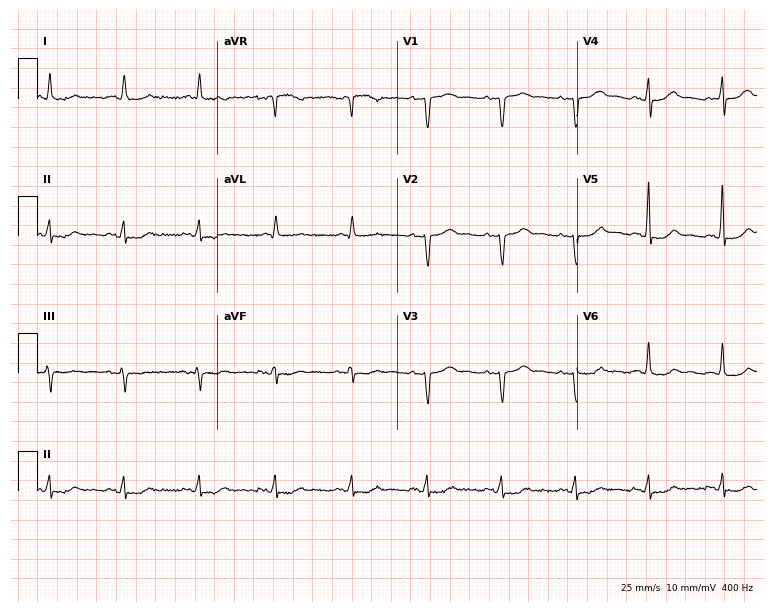
ECG — a male, 65 years old. Screened for six findings — first-degree AV block, right bundle branch block, left bundle branch block, sinus bradycardia, atrial fibrillation, sinus tachycardia — none is recorded. Findings outside these six are not listed.